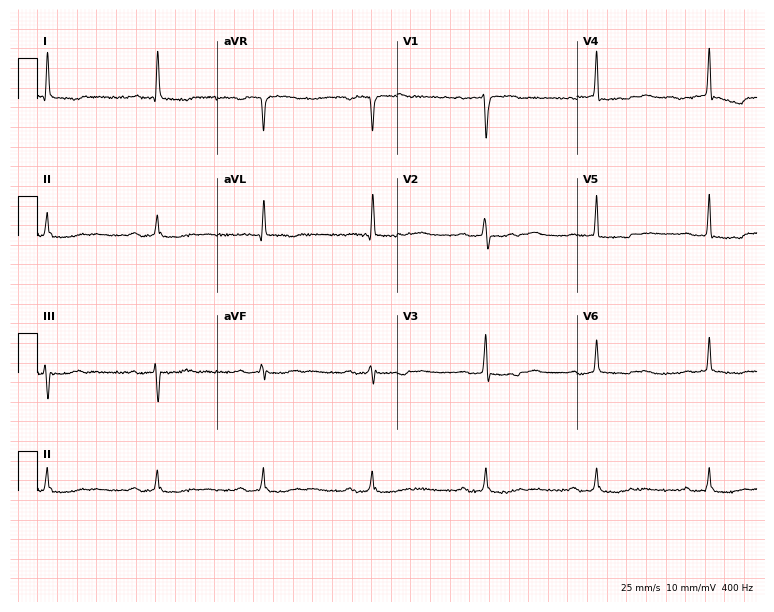
12-lead ECG (7.3-second recording at 400 Hz) from a female, 67 years old. Screened for six findings — first-degree AV block, right bundle branch block (RBBB), left bundle branch block (LBBB), sinus bradycardia, atrial fibrillation (AF), sinus tachycardia — none is recorded.